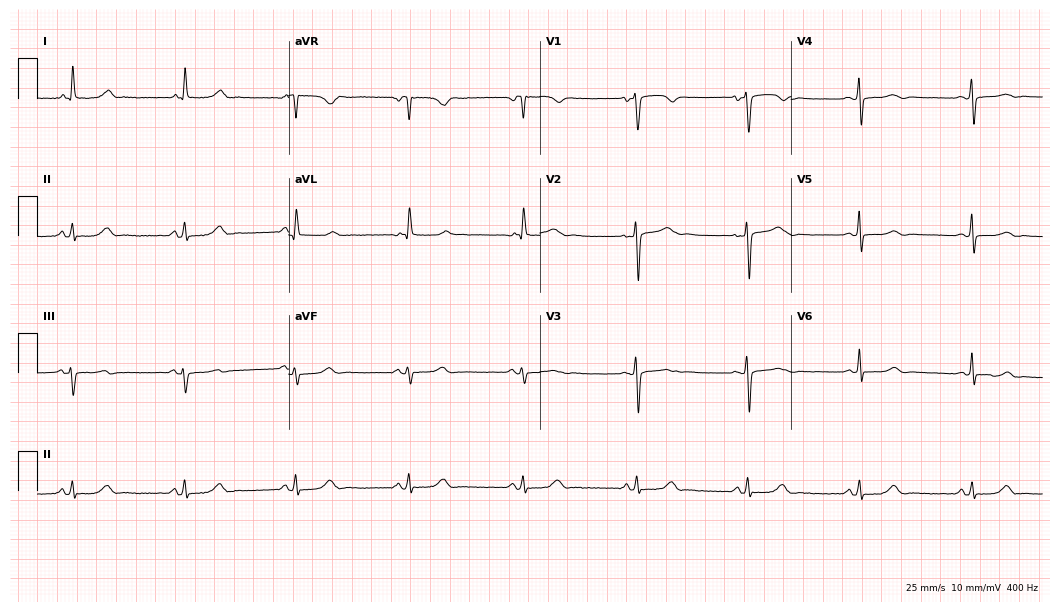
Electrocardiogram, a 65-year-old female. Overall reading on record: normal ECG.